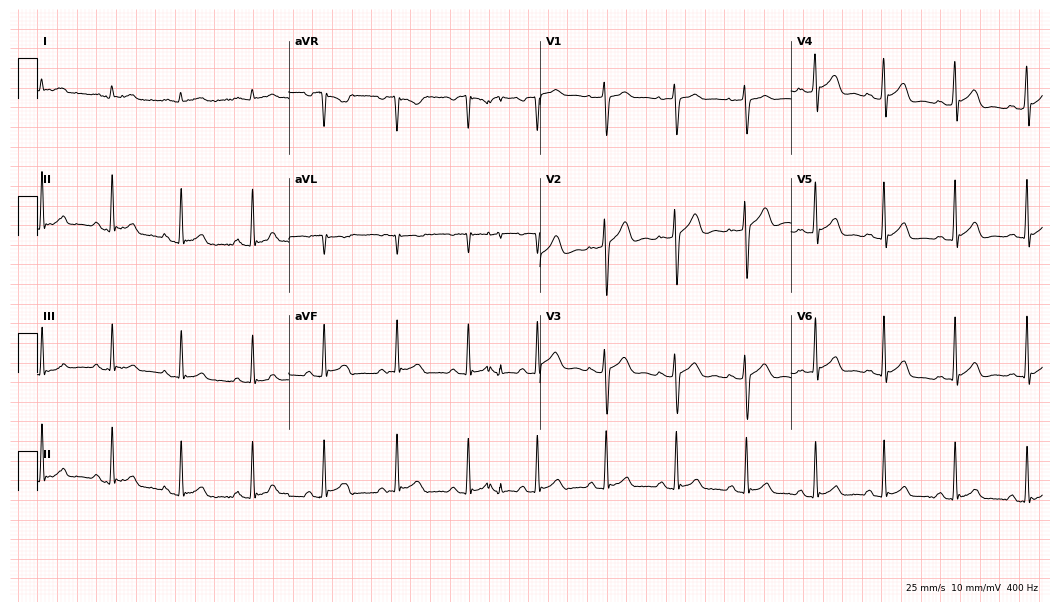
ECG (10.2-second recording at 400 Hz) — a male, 22 years old. Screened for six findings — first-degree AV block, right bundle branch block, left bundle branch block, sinus bradycardia, atrial fibrillation, sinus tachycardia — none is recorded. Only these six findings were labelled.